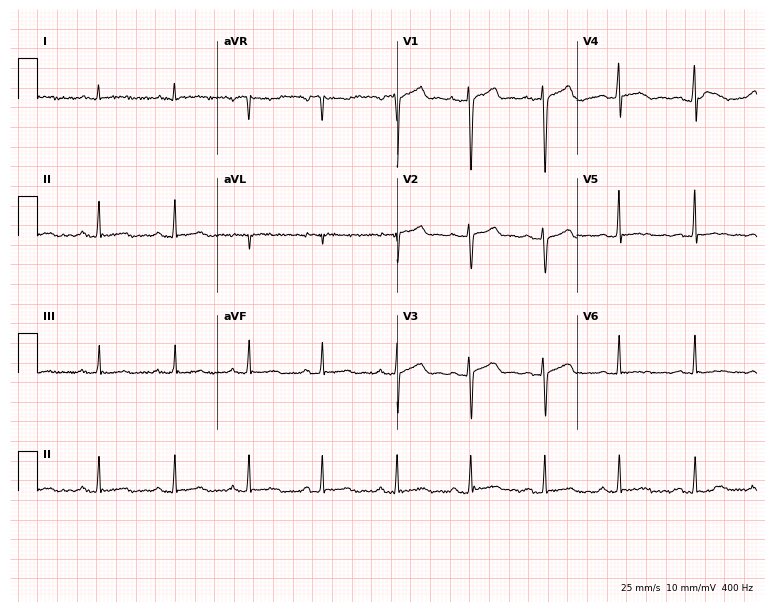
ECG (7.3-second recording at 400 Hz) — a male patient, 52 years old. Screened for six findings — first-degree AV block, right bundle branch block, left bundle branch block, sinus bradycardia, atrial fibrillation, sinus tachycardia — none is recorded.